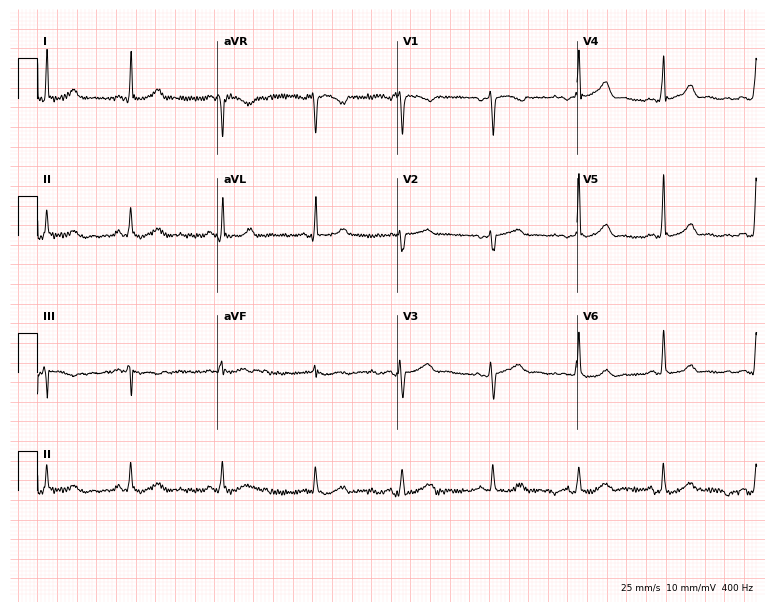
Resting 12-lead electrocardiogram (7.3-second recording at 400 Hz). Patient: a female, 35 years old. Read as a normal ECG.